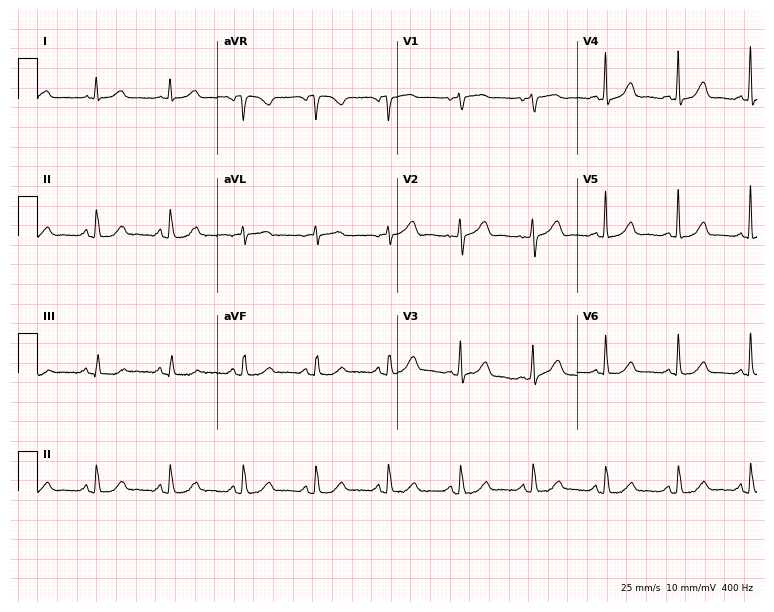
12-lead ECG from a woman, 67 years old. Labelled as a normal ECG.